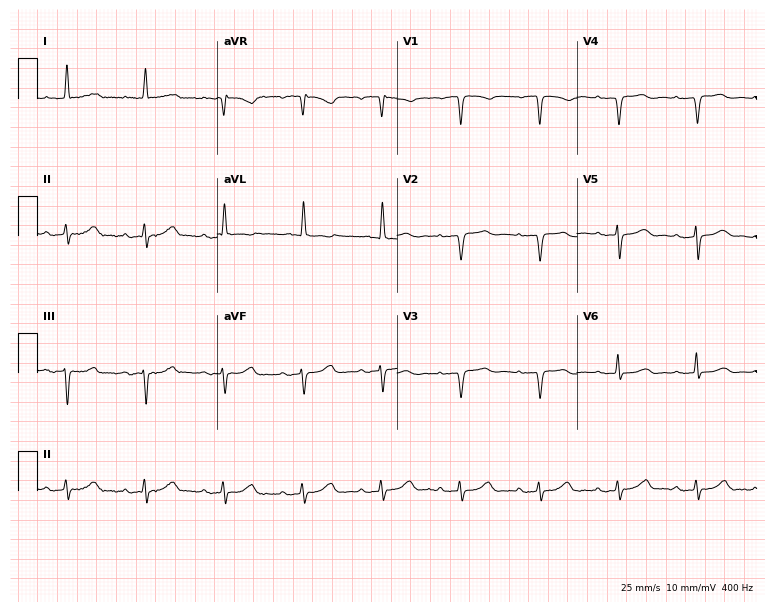
ECG (7.3-second recording at 400 Hz) — a 74-year-old female. Screened for six findings — first-degree AV block, right bundle branch block (RBBB), left bundle branch block (LBBB), sinus bradycardia, atrial fibrillation (AF), sinus tachycardia — none is recorded.